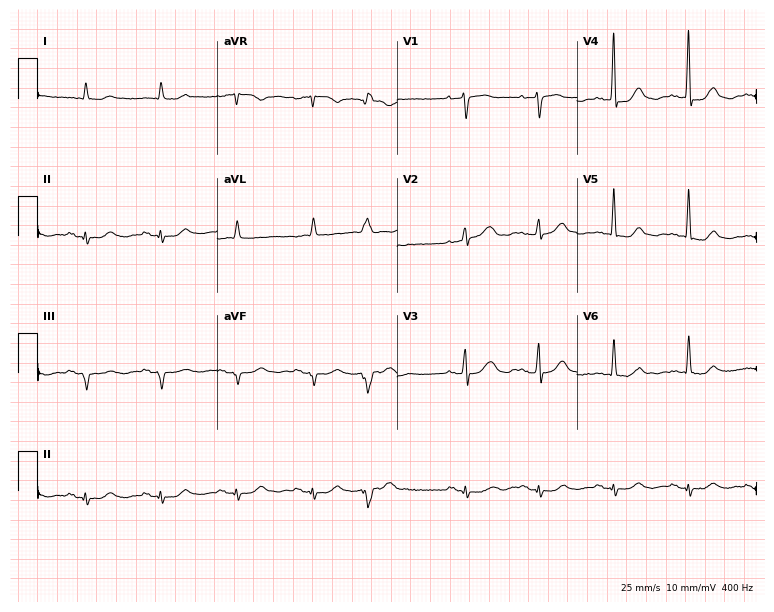
ECG (7.3-second recording at 400 Hz) — a 73-year-old female. Screened for six findings — first-degree AV block, right bundle branch block (RBBB), left bundle branch block (LBBB), sinus bradycardia, atrial fibrillation (AF), sinus tachycardia — none is recorded.